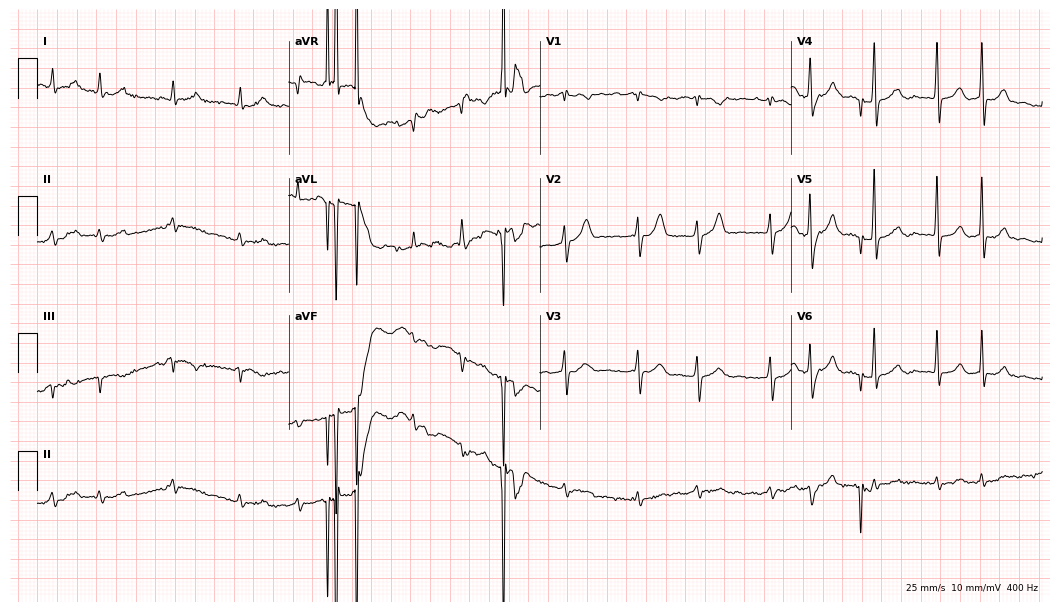
Resting 12-lead electrocardiogram (10.2-second recording at 400 Hz). Patient: an 85-year-old man. The tracing shows atrial fibrillation.